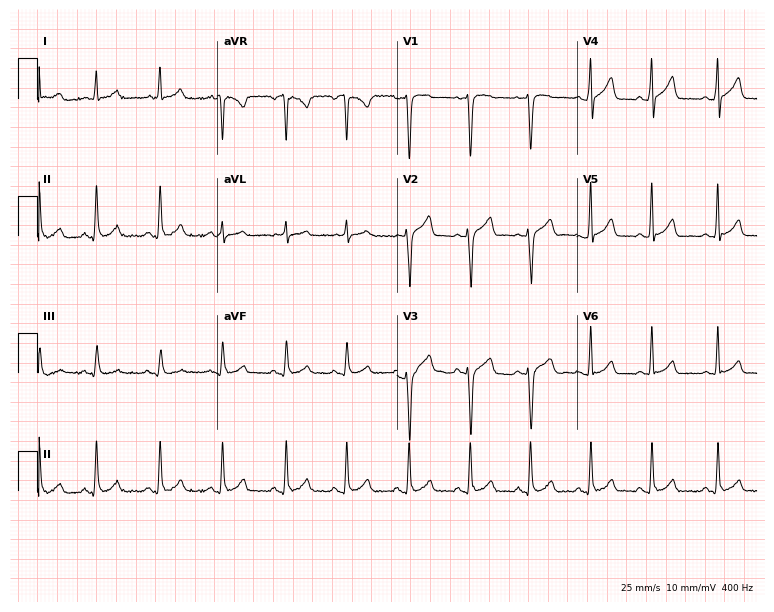
12-lead ECG (7.3-second recording at 400 Hz) from a male, 41 years old. Labelled as a normal ECG.